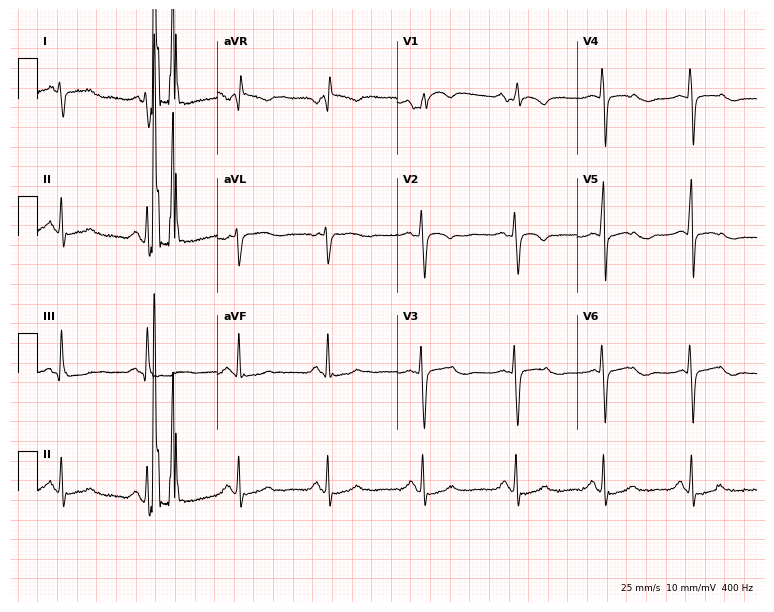
12-lead ECG from a 27-year-old female. No first-degree AV block, right bundle branch block, left bundle branch block, sinus bradycardia, atrial fibrillation or sinus tachycardia recorded for this tracing.